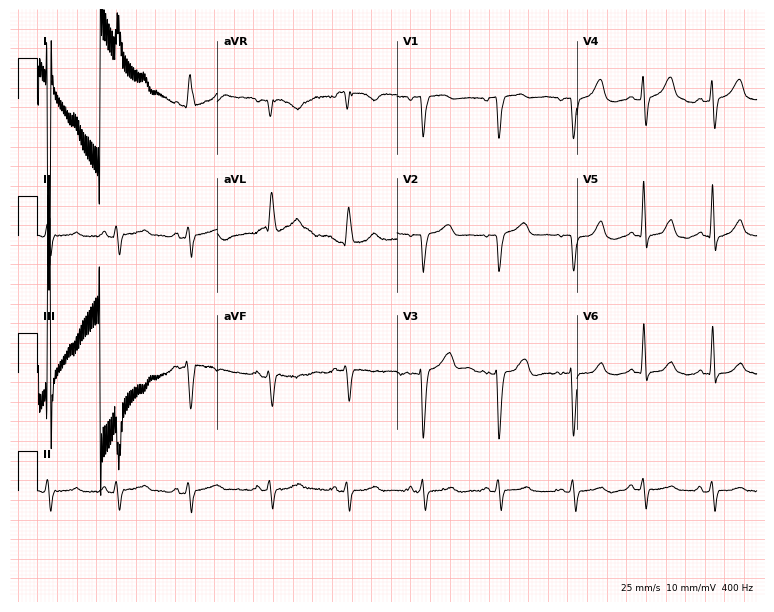
ECG — a female, 83 years old. Screened for six findings — first-degree AV block, right bundle branch block (RBBB), left bundle branch block (LBBB), sinus bradycardia, atrial fibrillation (AF), sinus tachycardia — none is recorded. Findings outside these six are not listed.